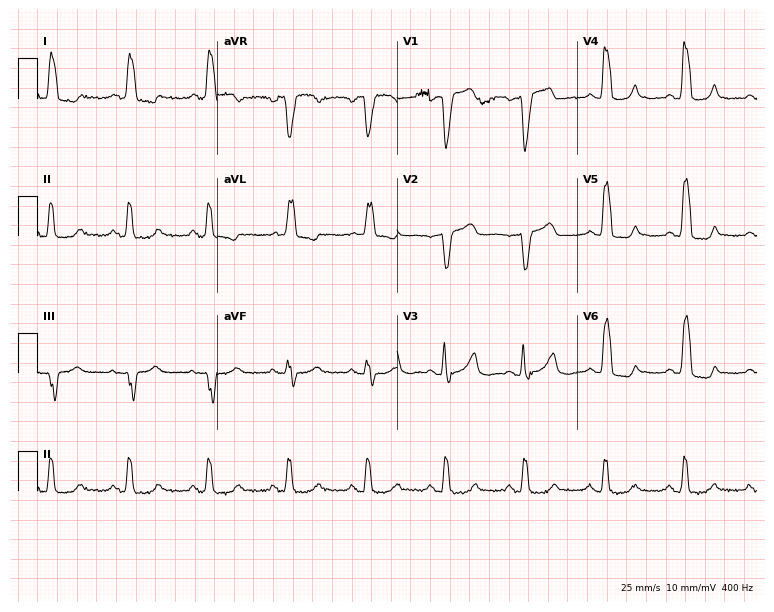
Standard 12-lead ECG recorded from a 67-year-old female patient (7.3-second recording at 400 Hz). The tracing shows left bundle branch block.